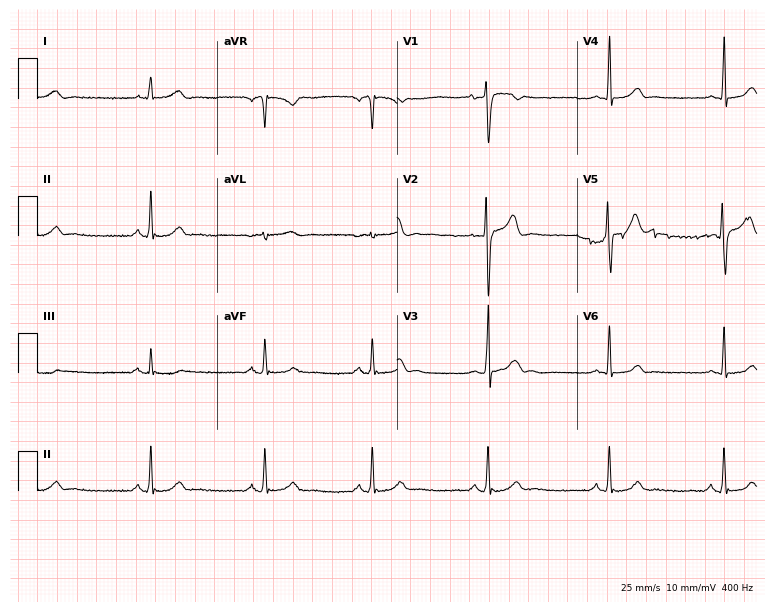
Standard 12-lead ECG recorded from a male patient, 33 years old. None of these six findings is recorded: first-degree AV block, right bundle branch block (RBBB), left bundle branch block (LBBB), sinus bradycardia, atrial fibrillation (AF), sinus tachycardia.